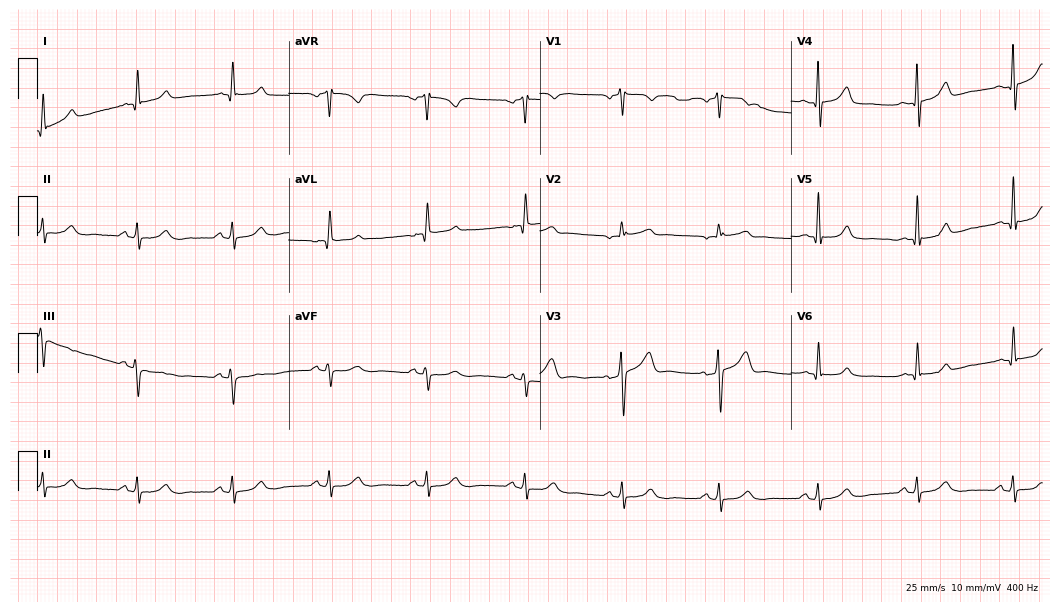
12-lead ECG from a 50-year-old male. No first-degree AV block, right bundle branch block (RBBB), left bundle branch block (LBBB), sinus bradycardia, atrial fibrillation (AF) or sinus tachycardia recorded for this tracing. Only these six findings were labelled.